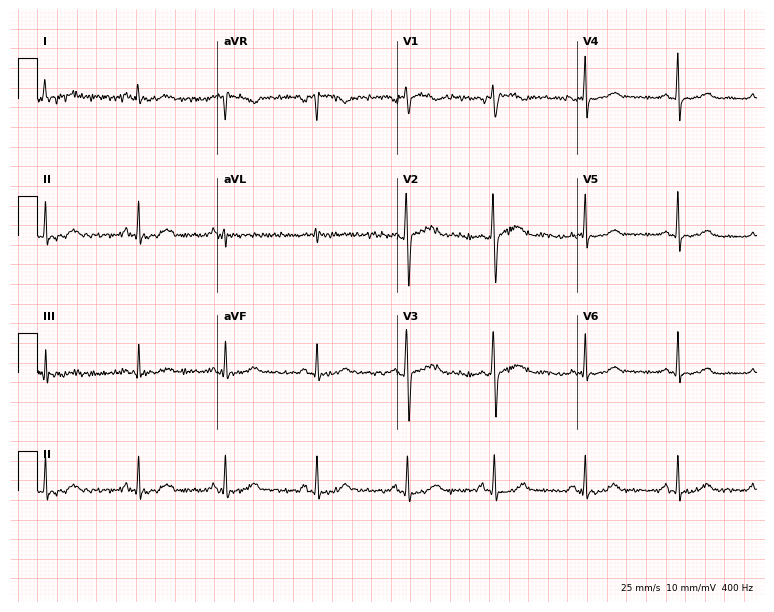
12-lead ECG from a woman, 42 years old. Labelled as a normal ECG.